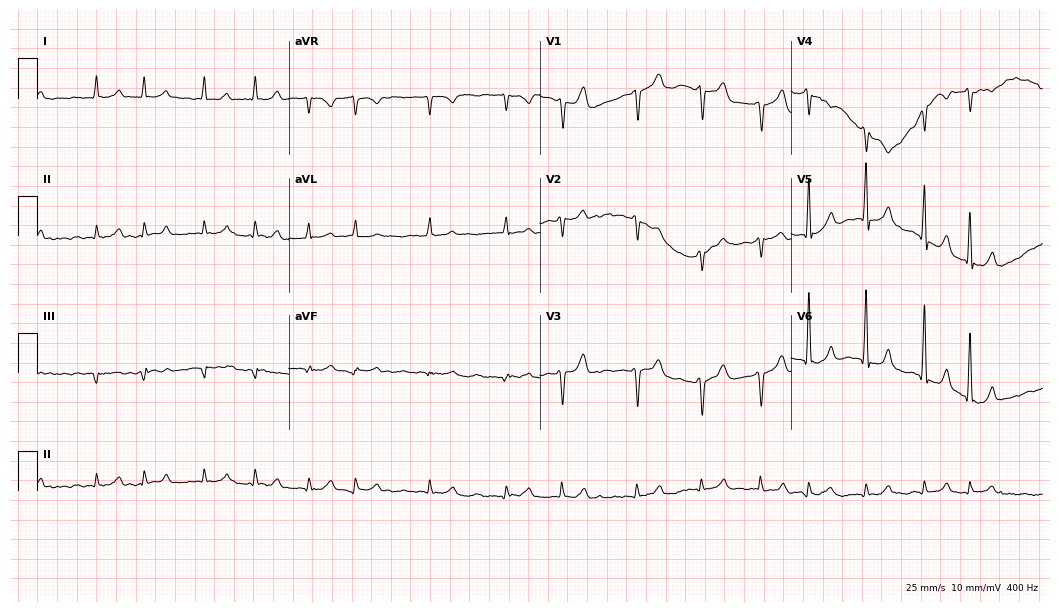
Resting 12-lead electrocardiogram. Patient: a male, 50 years old. The tracing shows atrial fibrillation.